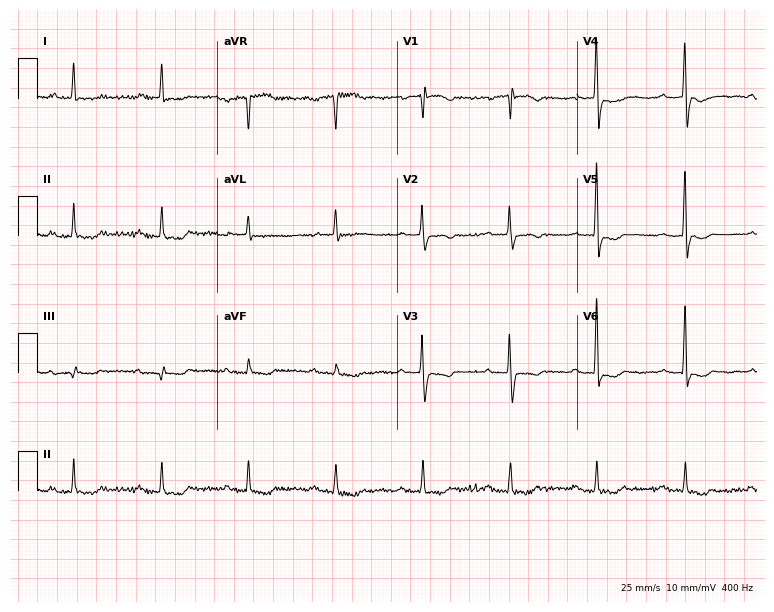
12-lead ECG (7.3-second recording at 400 Hz) from a female patient, 81 years old. Findings include first-degree AV block.